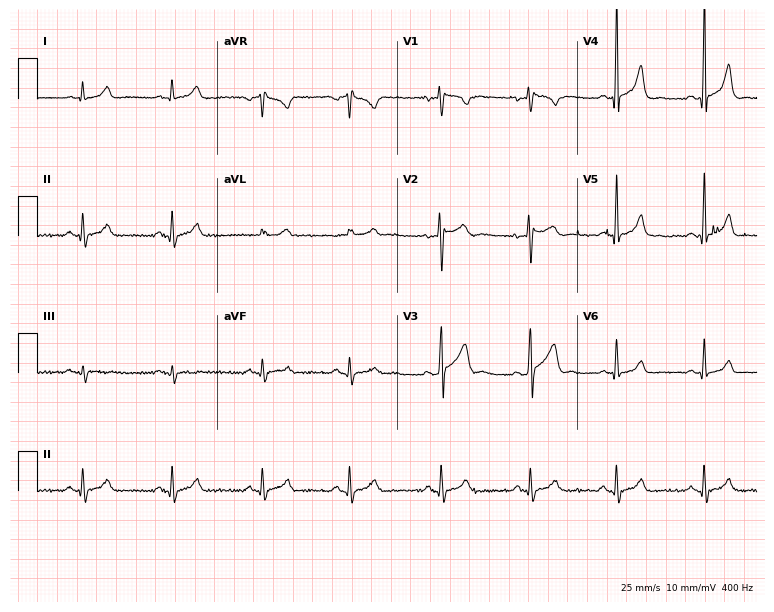
12-lead ECG from a 24-year-old man. Recorded interpretation: within normal limits.